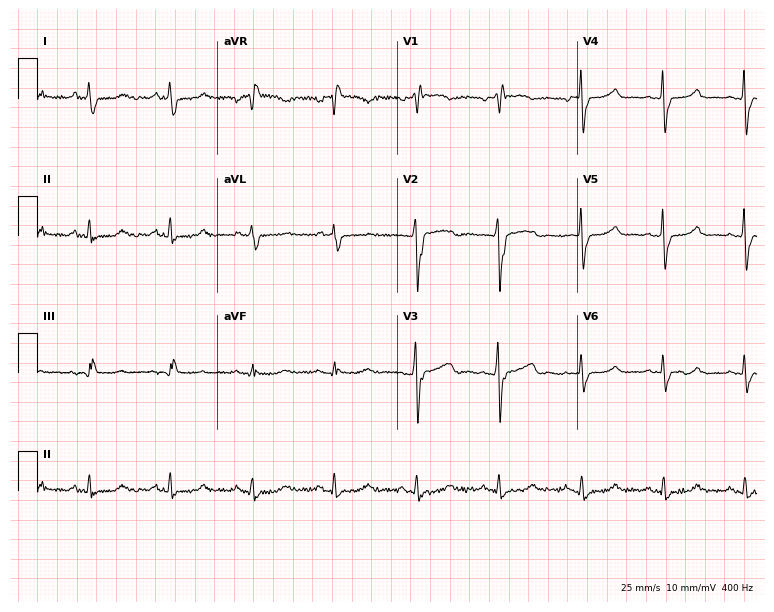
12-lead ECG from a female patient, 52 years old (7.3-second recording at 400 Hz). No first-degree AV block, right bundle branch block (RBBB), left bundle branch block (LBBB), sinus bradycardia, atrial fibrillation (AF) or sinus tachycardia recorded for this tracing.